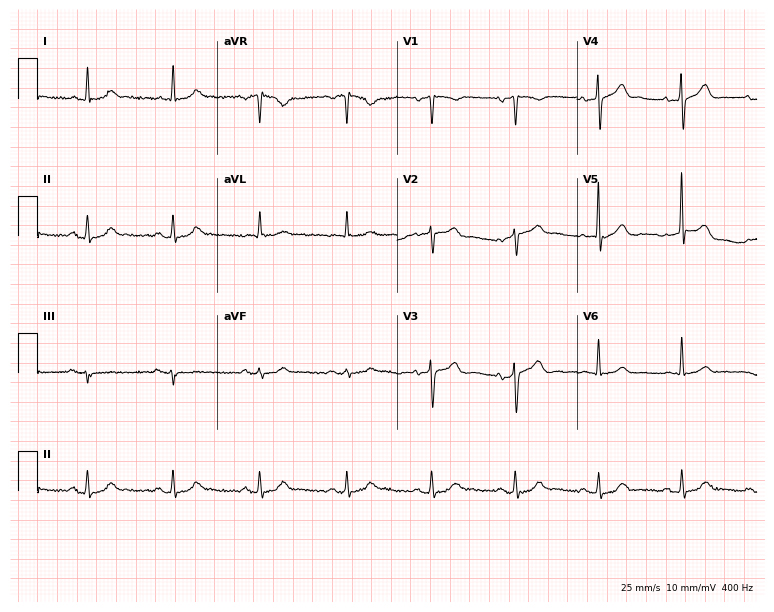
ECG (7.3-second recording at 400 Hz) — an 83-year-old male patient. Screened for six findings — first-degree AV block, right bundle branch block, left bundle branch block, sinus bradycardia, atrial fibrillation, sinus tachycardia — none is recorded.